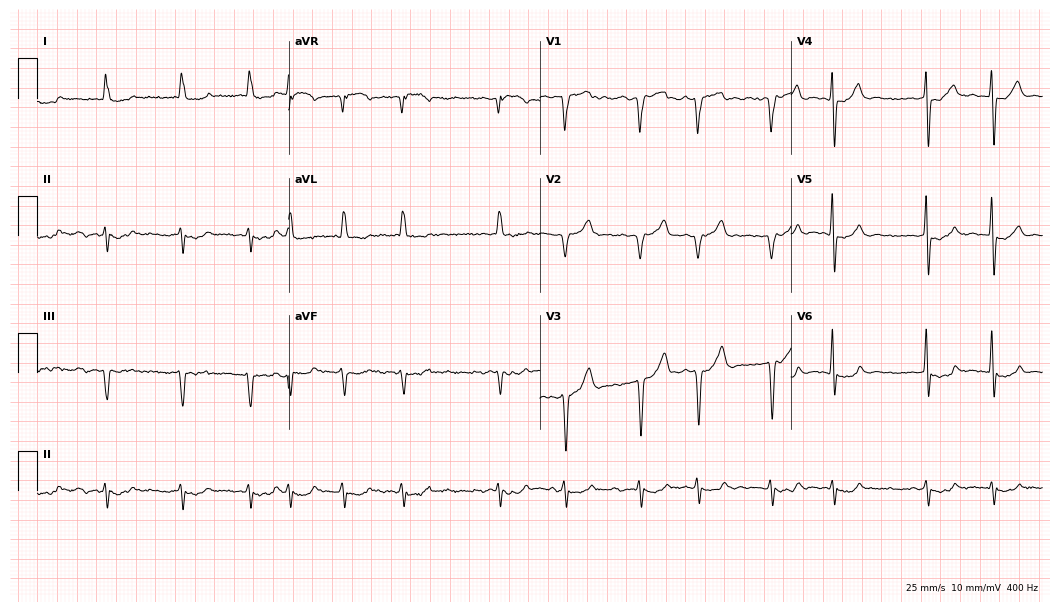
12-lead ECG from an 82-year-old man (10.2-second recording at 400 Hz). Shows atrial fibrillation (AF).